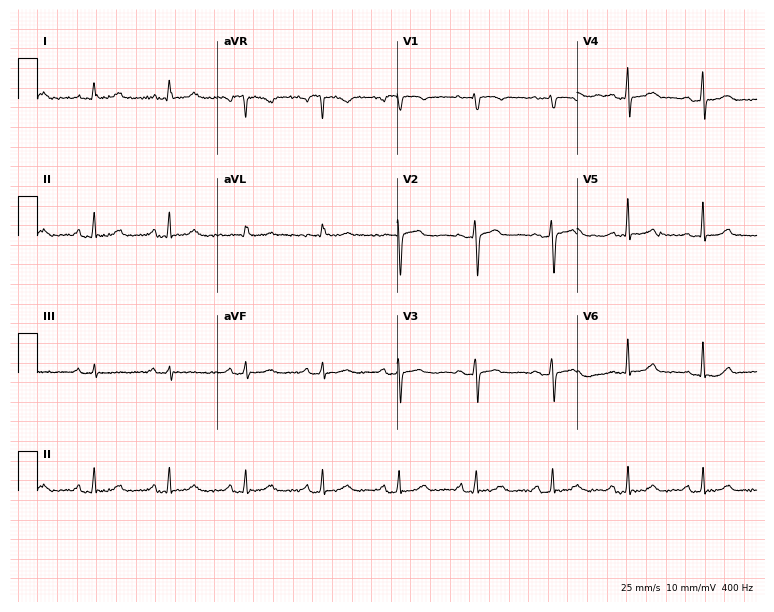
Electrocardiogram, a woman, 44 years old. Overall reading on record: normal ECG.